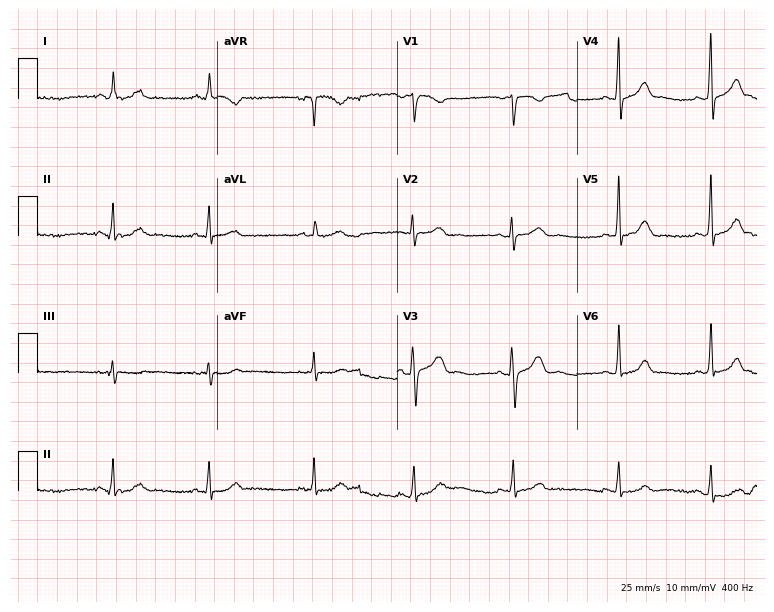
ECG — a woman, 28 years old. Screened for six findings — first-degree AV block, right bundle branch block (RBBB), left bundle branch block (LBBB), sinus bradycardia, atrial fibrillation (AF), sinus tachycardia — none is recorded.